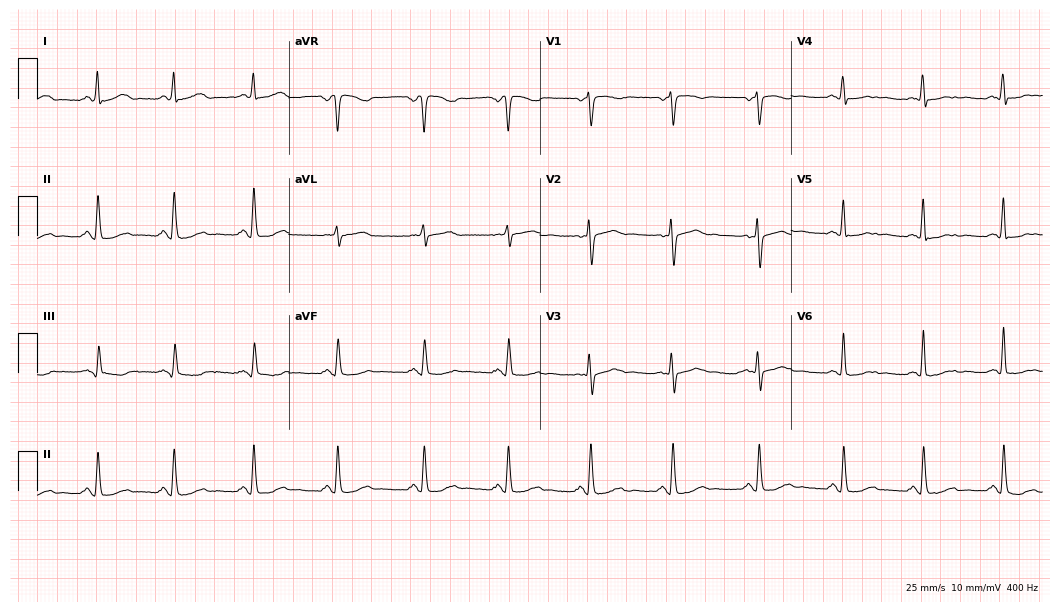
12-lead ECG (10.2-second recording at 400 Hz) from a 48-year-old female patient. Labelled as a normal ECG.